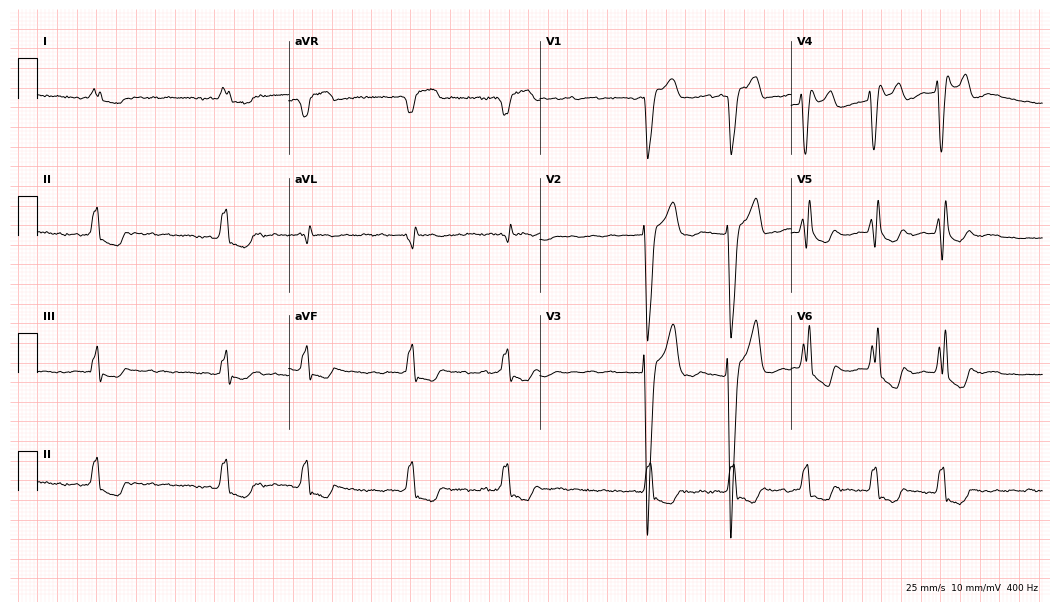
Resting 12-lead electrocardiogram (10.2-second recording at 400 Hz). Patient: a woman, 82 years old. The tracing shows left bundle branch block, atrial fibrillation.